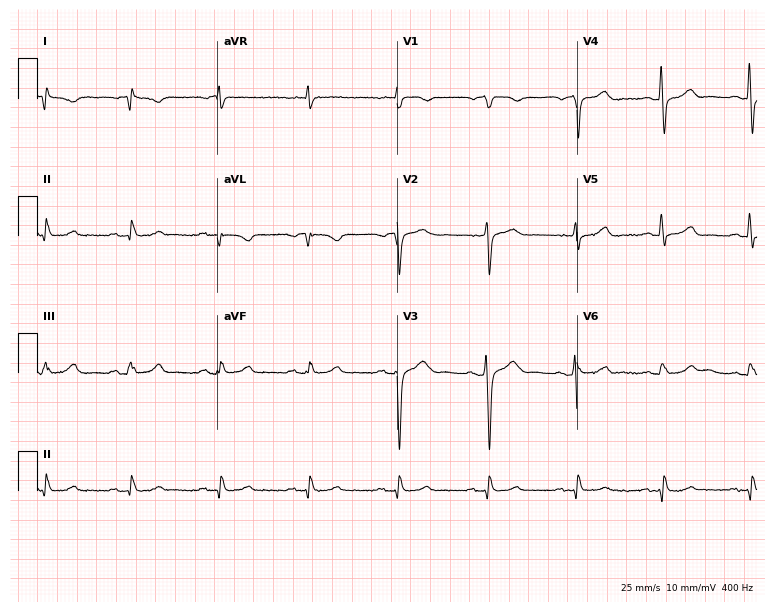
ECG (7.3-second recording at 400 Hz) — a male, 64 years old. Screened for six findings — first-degree AV block, right bundle branch block, left bundle branch block, sinus bradycardia, atrial fibrillation, sinus tachycardia — none is recorded. Findings outside these six are not listed.